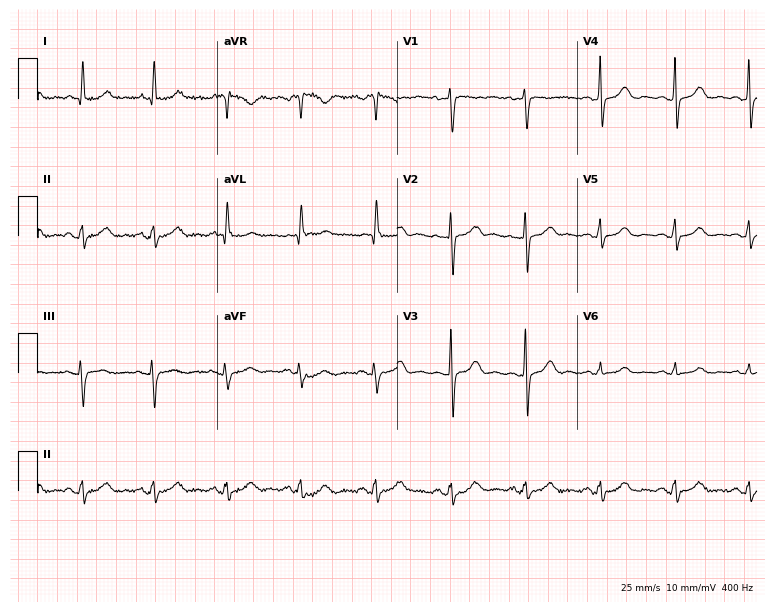
ECG (7.3-second recording at 400 Hz) — a 57-year-old woman. Labelled as a normal ECG.